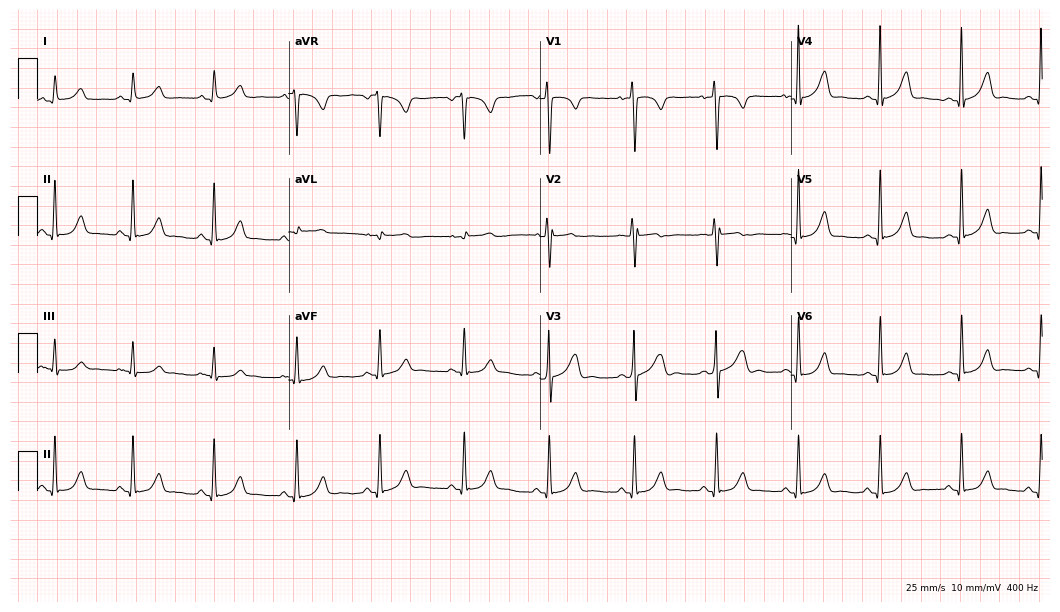
12-lead ECG from a 22-year-old female (10.2-second recording at 400 Hz). Recorded interpretation: within normal limits.